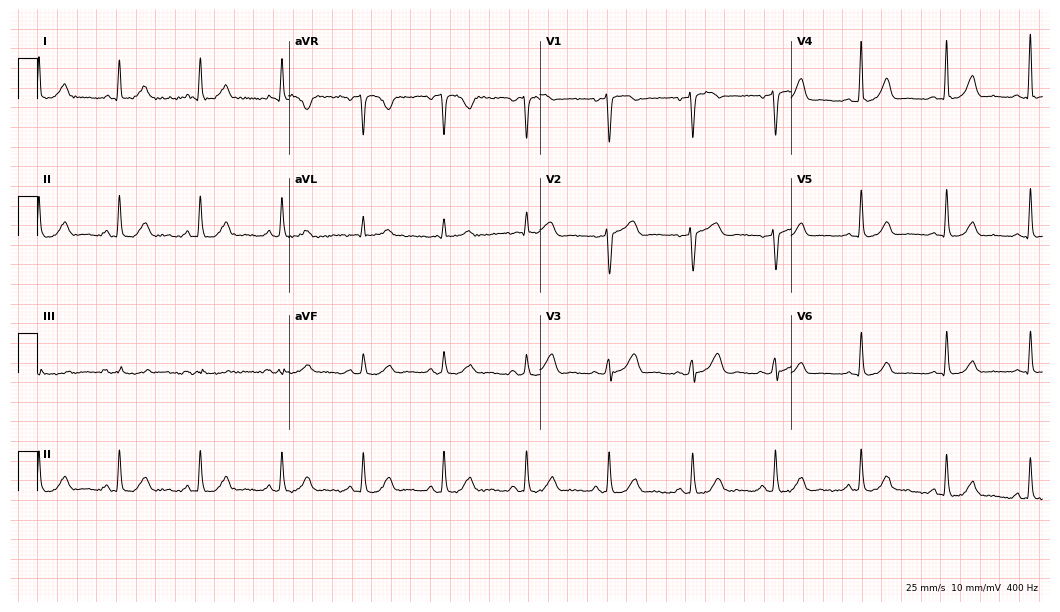
Standard 12-lead ECG recorded from a 62-year-old female patient. Read as a normal ECG.